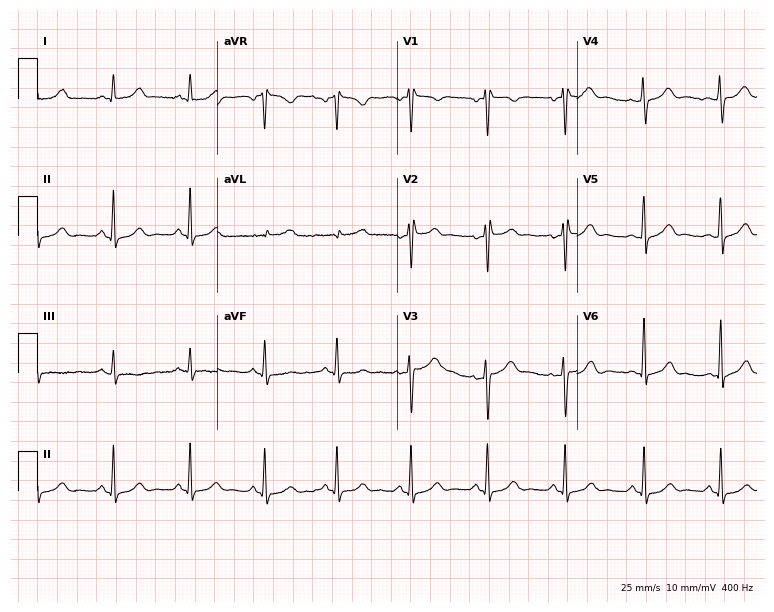
12-lead ECG from a female, 42 years old (7.3-second recording at 400 Hz). No first-degree AV block, right bundle branch block, left bundle branch block, sinus bradycardia, atrial fibrillation or sinus tachycardia recorded for this tracing. Only these six findings were labelled.